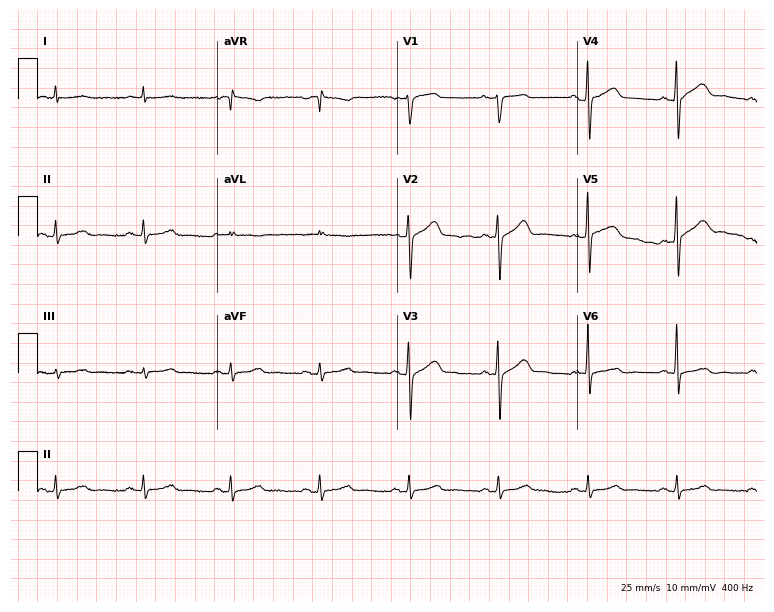
12-lead ECG from a male, 64 years old. Recorded interpretation: within normal limits.